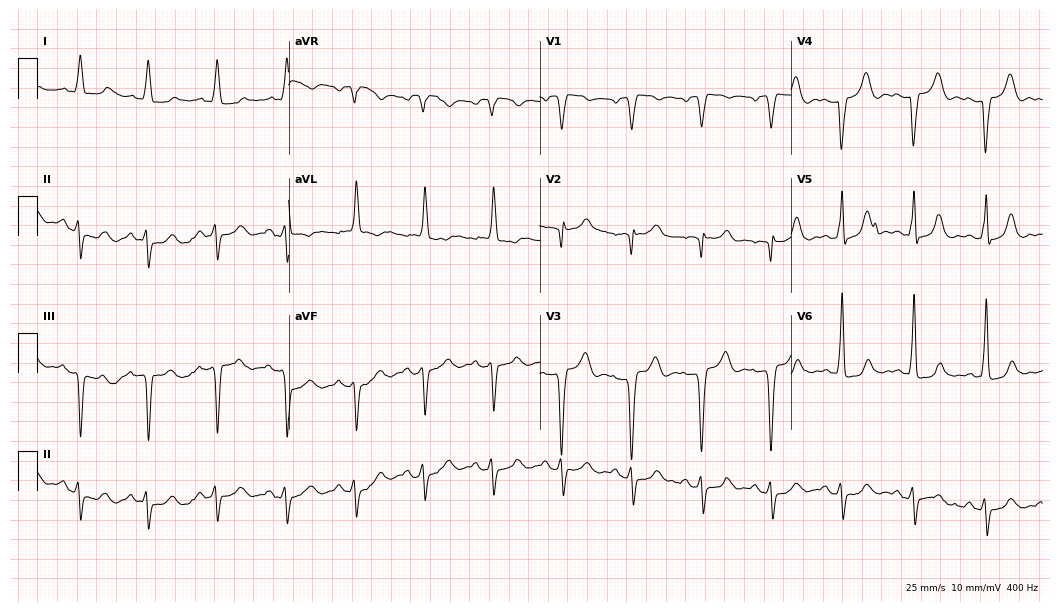
Electrocardiogram (10.2-second recording at 400 Hz), a 74-year-old female. Of the six screened findings (first-degree AV block, right bundle branch block, left bundle branch block, sinus bradycardia, atrial fibrillation, sinus tachycardia), none is recorded.